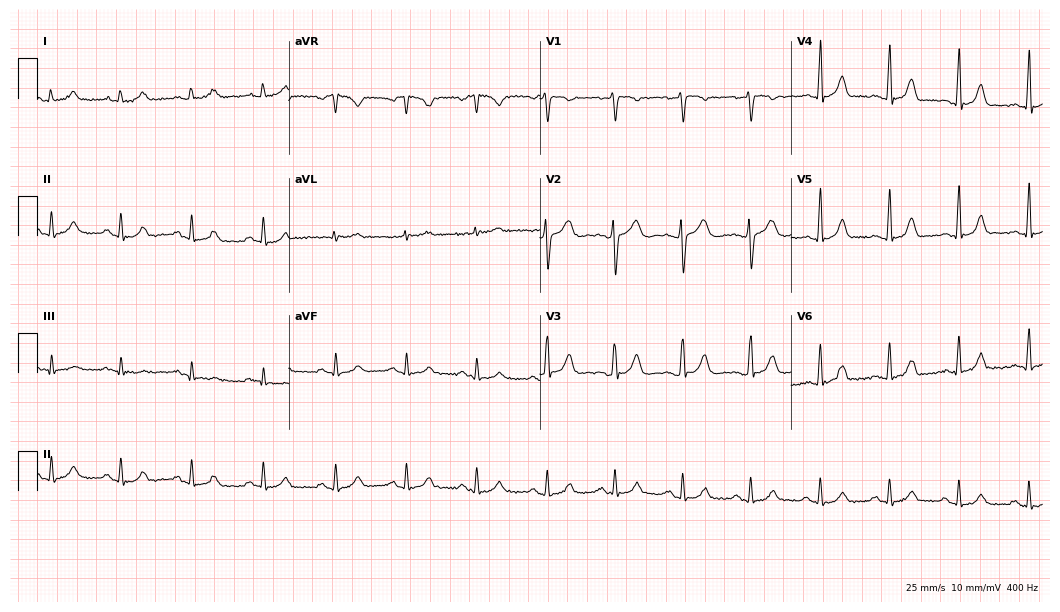
12-lead ECG from a 33-year-old female (10.2-second recording at 400 Hz). No first-degree AV block, right bundle branch block, left bundle branch block, sinus bradycardia, atrial fibrillation or sinus tachycardia recorded for this tracing.